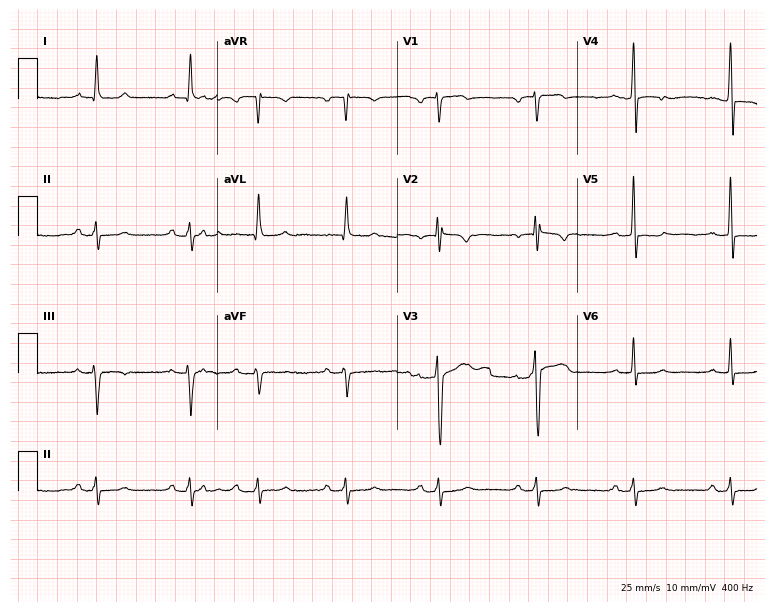
Resting 12-lead electrocardiogram. Patient: a 53-year-old male. None of these six findings is recorded: first-degree AV block, right bundle branch block, left bundle branch block, sinus bradycardia, atrial fibrillation, sinus tachycardia.